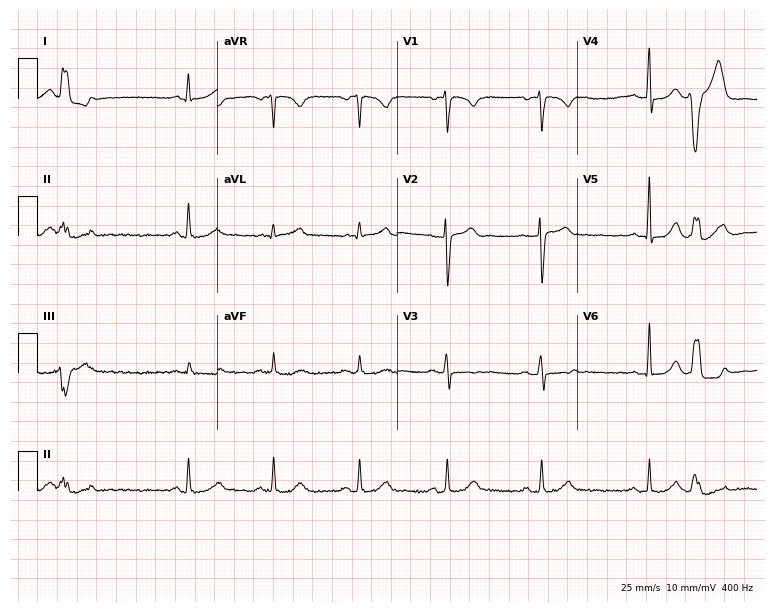
ECG (7.3-second recording at 400 Hz) — a 44-year-old male. Screened for six findings — first-degree AV block, right bundle branch block, left bundle branch block, sinus bradycardia, atrial fibrillation, sinus tachycardia — none is recorded. Only these six findings were labelled.